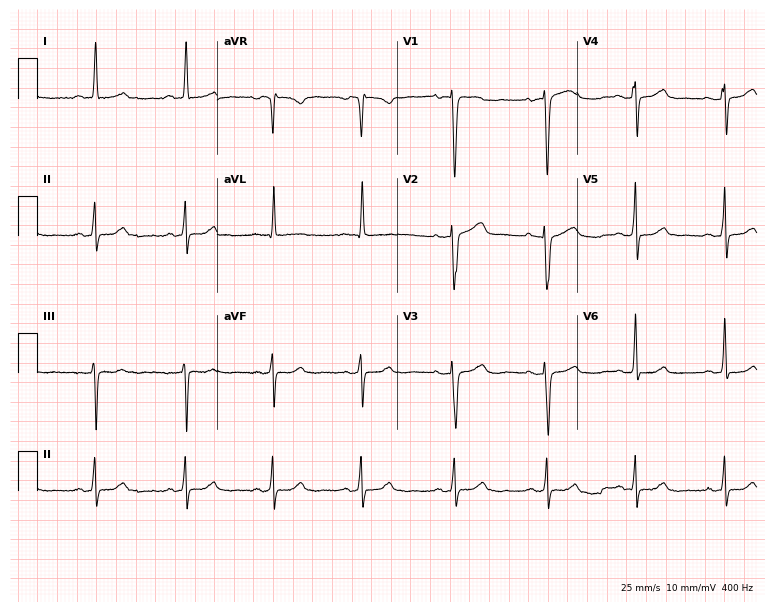
Resting 12-lead electrocardiogram. Patient: a 68-year-old female. Read as a normal ECG.